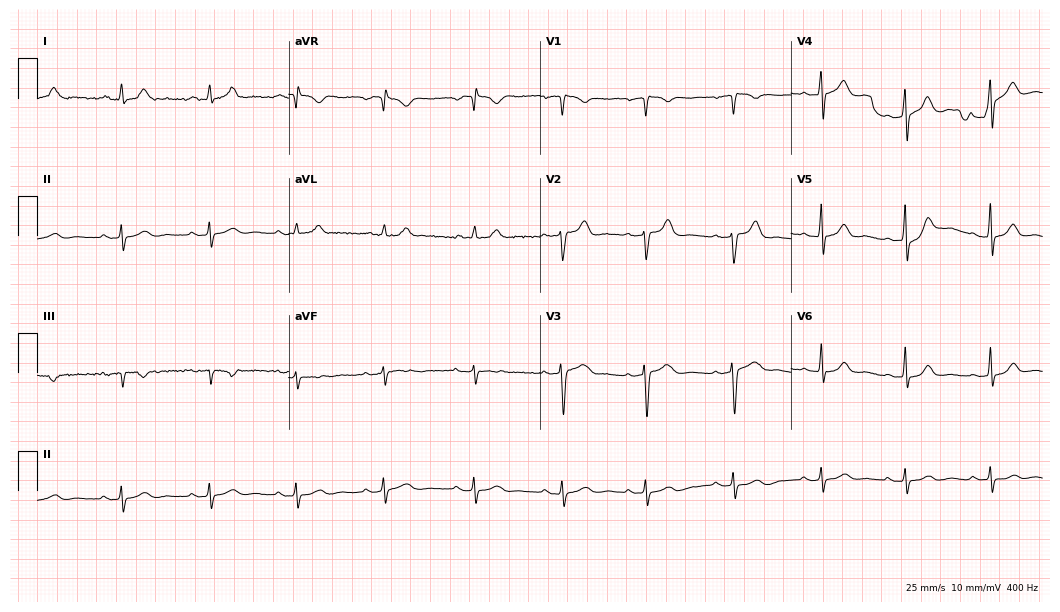
12-lead ECG from a 26-year-old woman. Recorded interpretation: within normal limits.